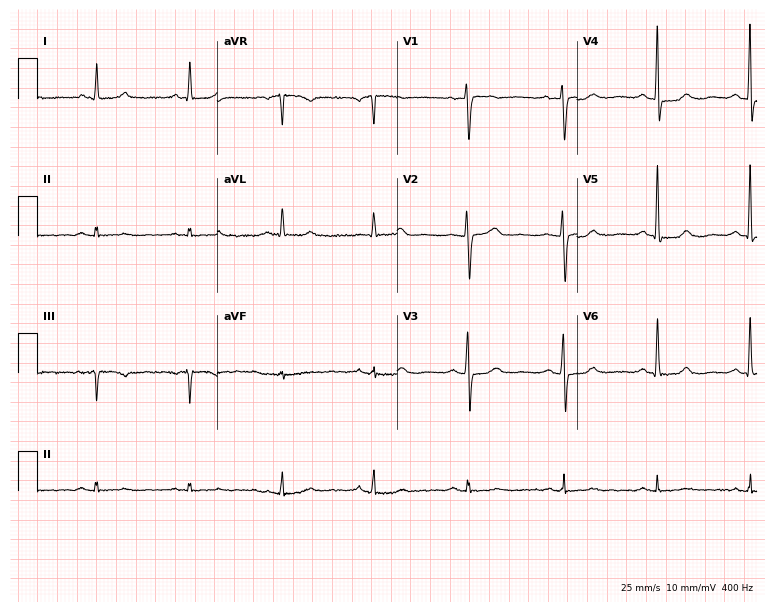
ECG — a 64-year-old female. Labelled as a normal ECG.